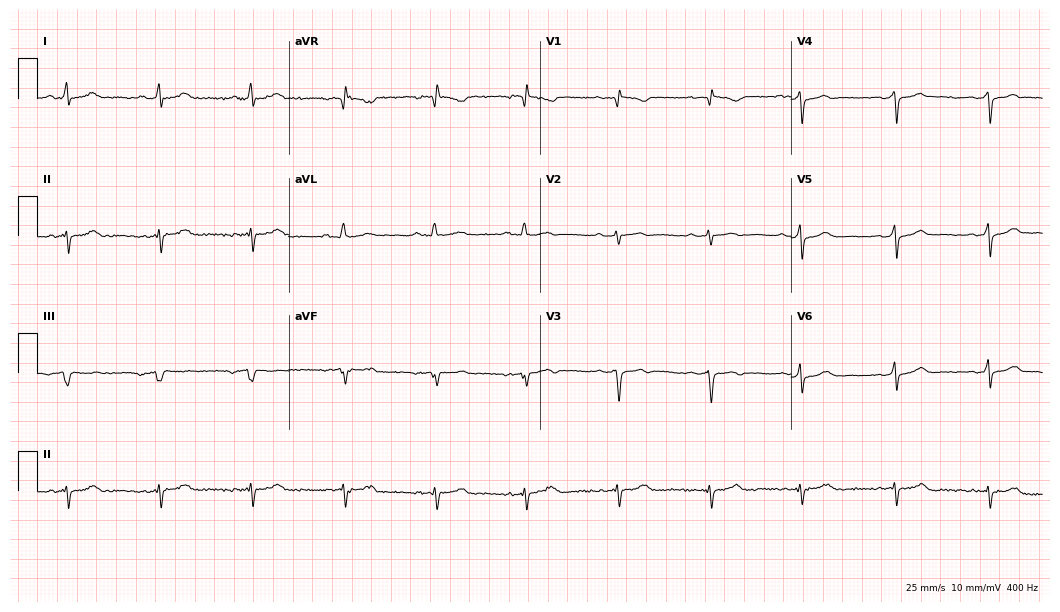
12-lead ECG from a woman, 58 years old. No first-degree AV block, right bundle branch block, left bundle branch block, sinus bradycardia, atrial fibrillation or sinus tachycardia recorded for this tracing. Other findings, if any, are not listed.